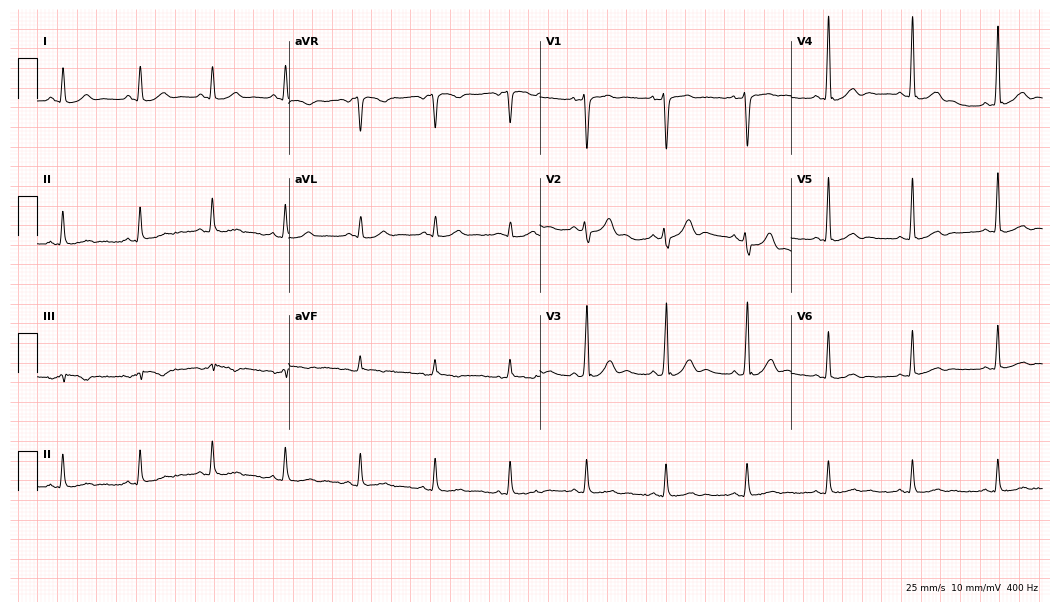
12-lead ECG from a male patient, 36 years old. Screened for six findings — first-degree AV block, right bundle branch block, left bundle branch block, sinus bradycardia, atrial fibrillation, sinus tachycardia — none is recorded.